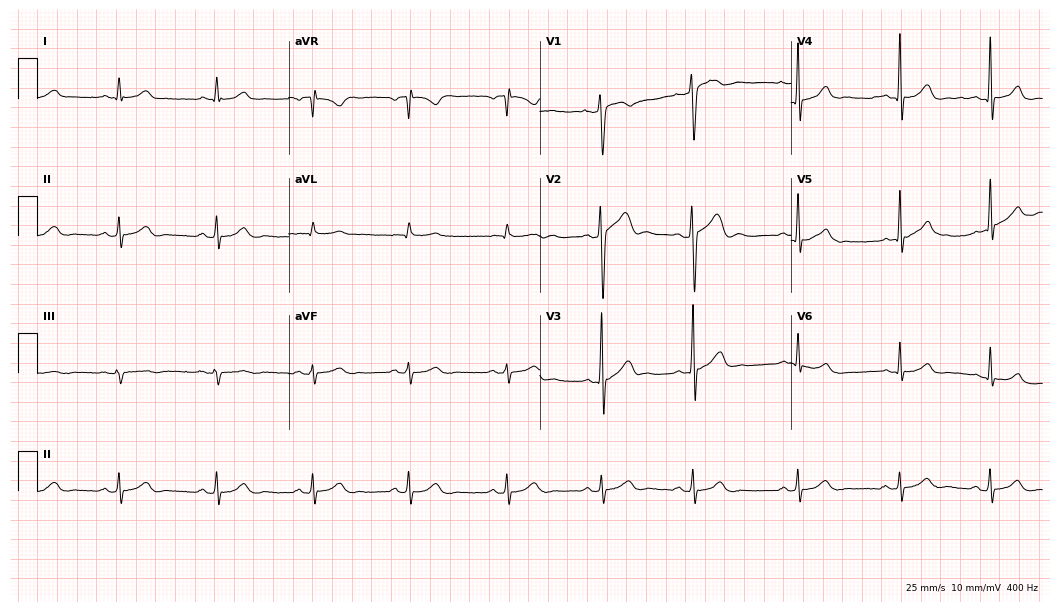
Electrocardiogram (10.2-second recording at 400 Hz), a 19-year-old male. Overall reading on record: normal ECG.